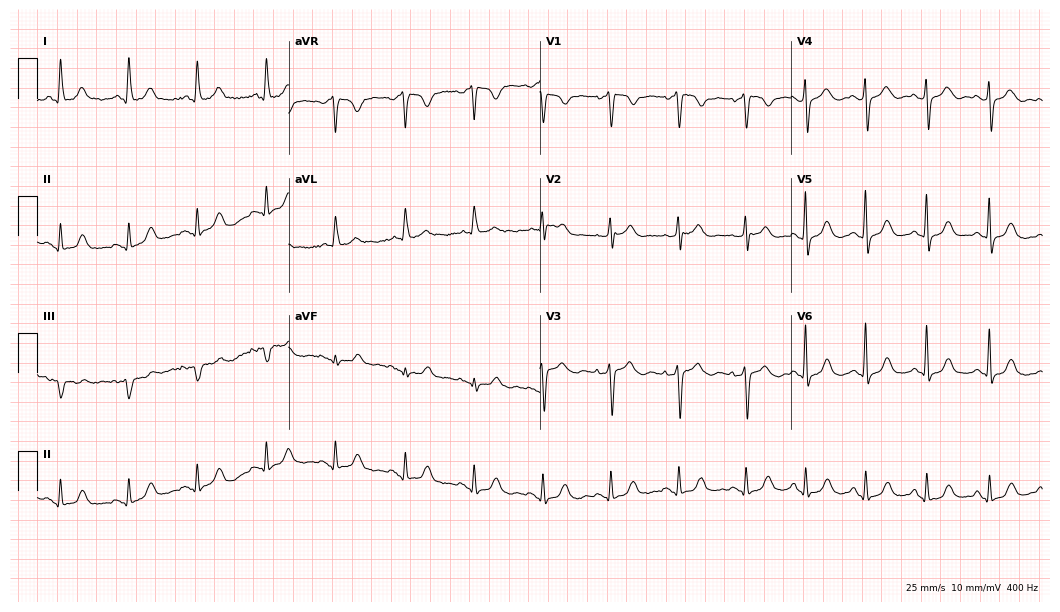
ECG — a female, 71 years old. Screened for six findings — first-degree AV block, right bundle branch block, left bundle branch block, sinus bradycardia, atrial fibrillation, sinus tachycardia — none is recorded.